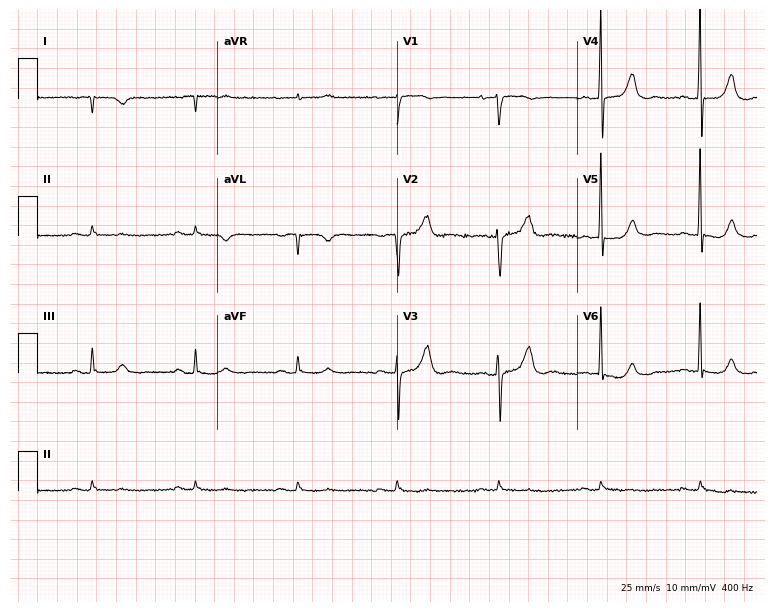
Standard 12-lead ECG recorded from a man, 79 years old (7.3-second recording at 400 Hz). None of these six findings is recorded: first-degree AV block, right bundle branch block (RBBB), left bundle branch block (LBBB), sinus bradycardia, atrial fibrillation (AF), sinus tachycardia. Findings outside these six are not listed.